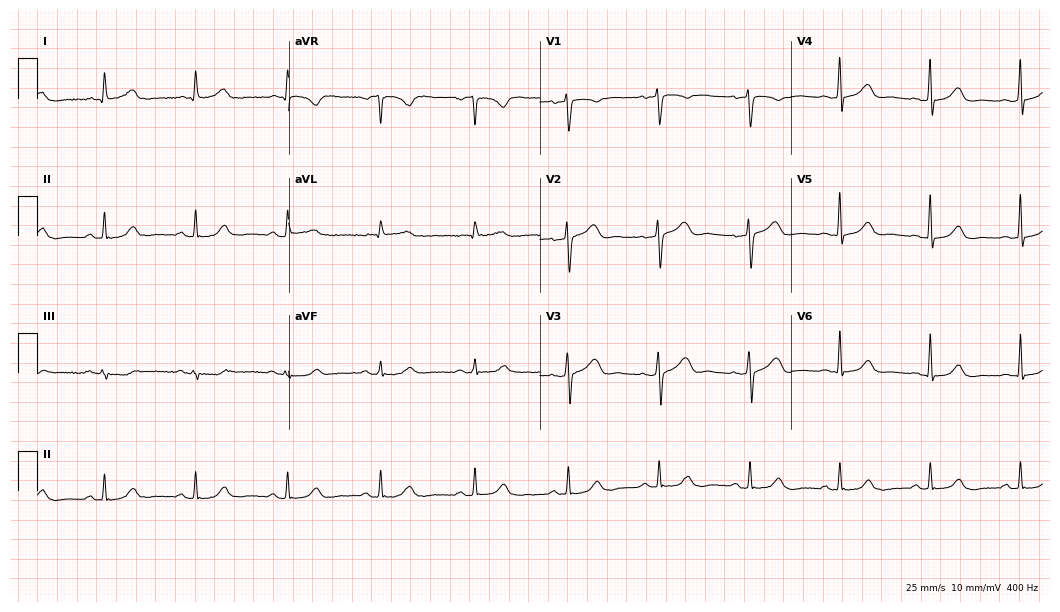
Electrocardiogram (10.2-second recording at 400 Hz), a woman, 56 years old. Overall reading on record: normal ECG.